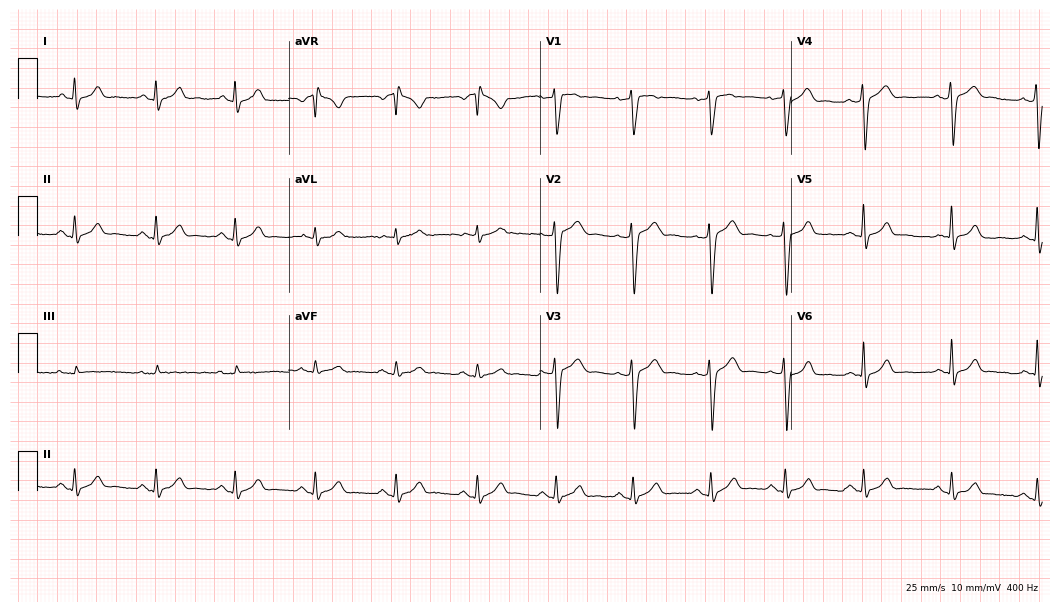
12-lead ECG from a 24-year-old male. Screened for six findings — first-degree AV block, right bundle branch block, left bundle branch block, sinus bradycardia, atrial fibrillation, sinus tachycardia — none is recorded.